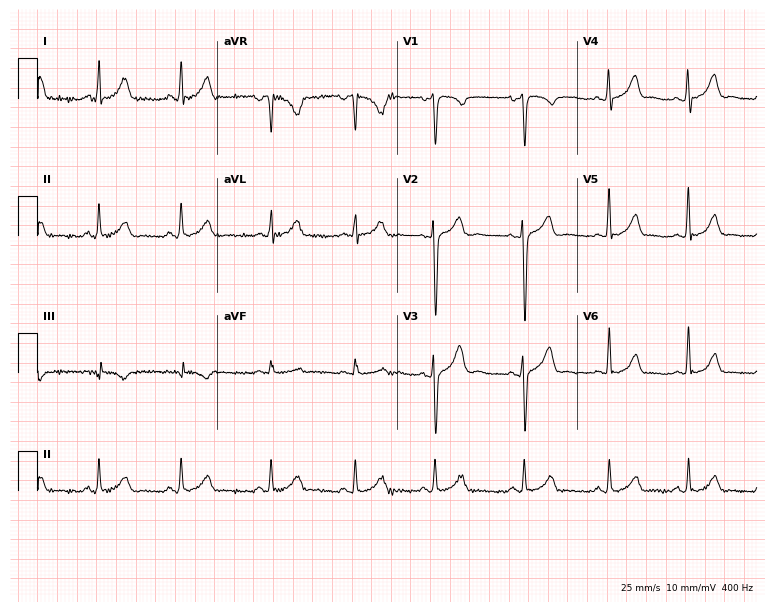
Electrocardiogram (7.3-second recording at 400 Hz), a female, 27 years old. Overall reading on record: normal ECG.